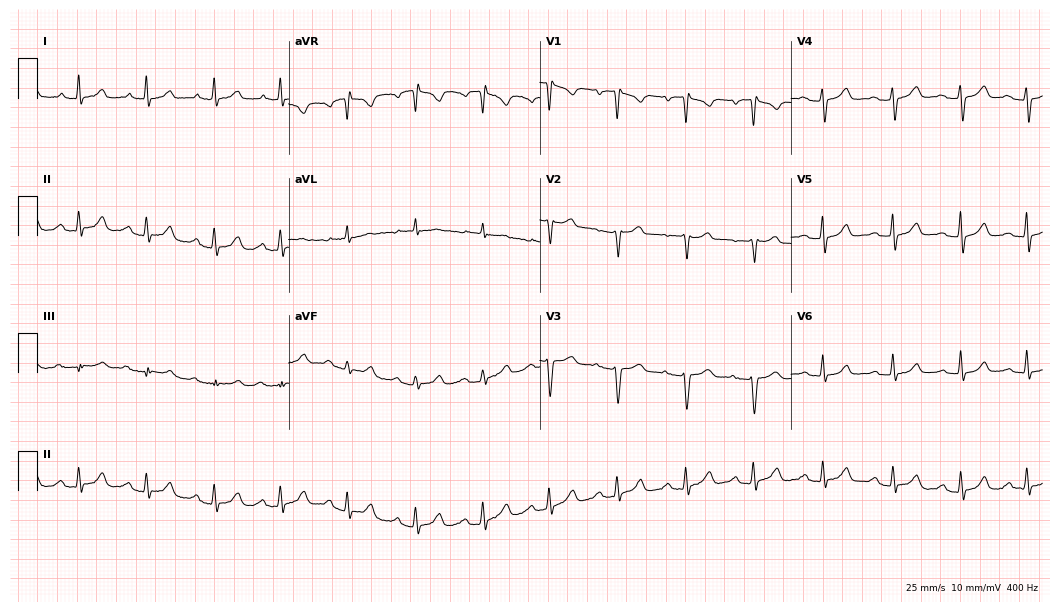
ECG — a 62-year-old woman. Labelled as a normal ECG.